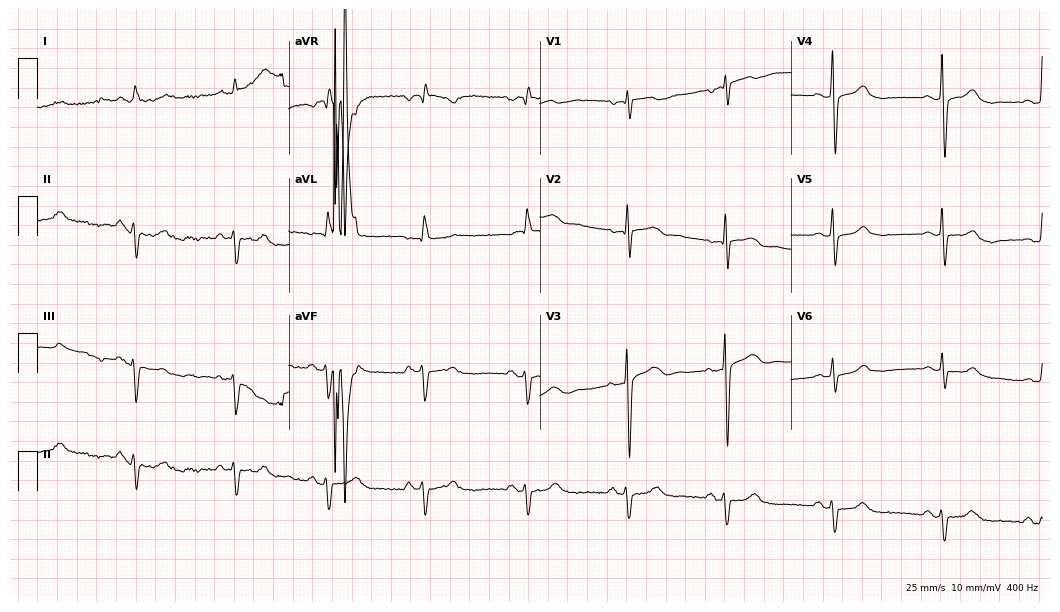
Standard 12-lead ECG recorded from a man, 77 years old (10.2-second recording at 400 Hz). None of these six findings is recorded: first-degree AV block, right bundle branch block (RBBB), left bundle branch block (LBBB), sinus bradycardia, atrial fibrillation (AF), sinus tachycardia.